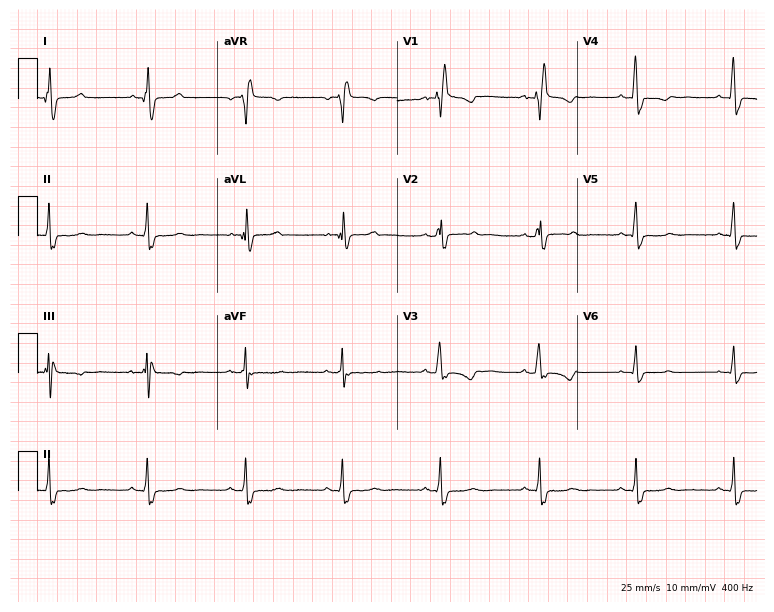
Resting 12-lead electrocardiogram. Patient: a 37-year-old woman. None of these six findings is recorded: first-degree AV block, right bundle branch block (RBBB), left bundle branch block (LBBB), sinus bradycardia, atrial fibrillation (AF), sinus tachycardia.